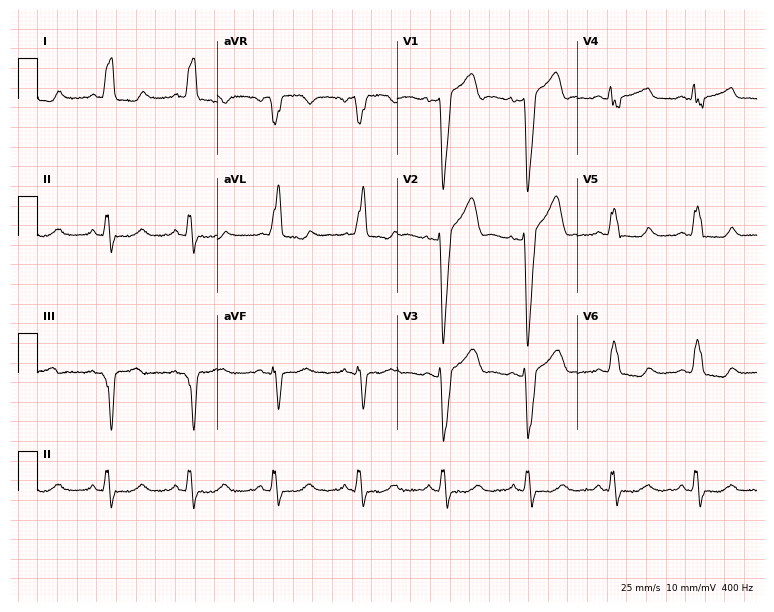
Electrocardiogram, a female patient, 68 years old. Of the six screened findings (first-degree AV block, right bundle branch block, left bundle branch block, sinus bradycardia, atrial fibrillation, sinus tachycardia), none is recorded. Other findings, if any, are not listed.